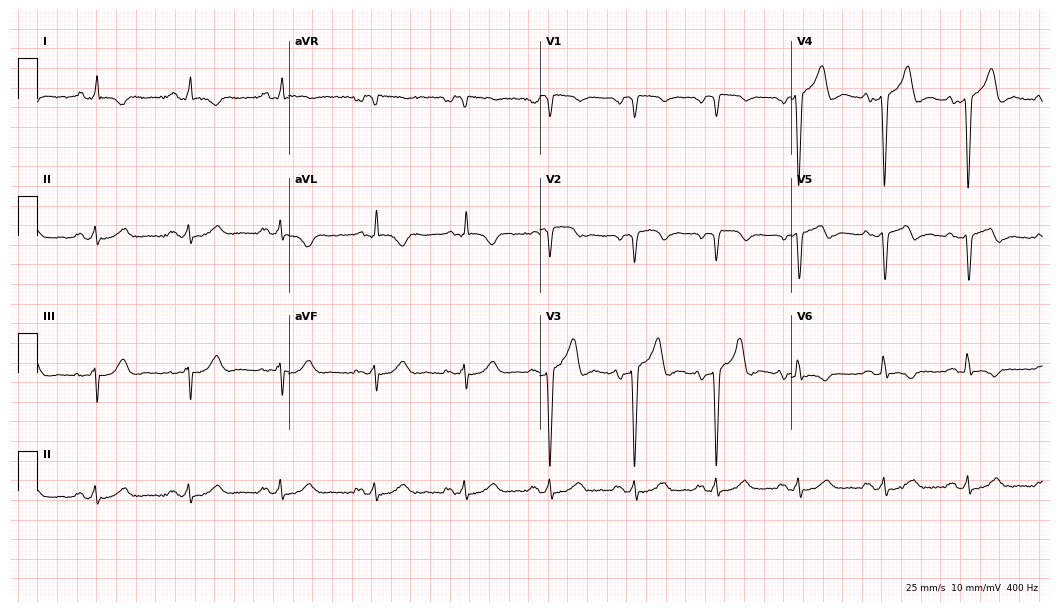
12-lead ECG from a 44-year-old male patient. No first-degree AV block, right bundle branch block (RBBB), left bundle branch block (LBBB), sinus bradycardia, atrial fibrillation (AF) or sinus tachycardia recorded for this tracing. Other findings, if any, are not listed.